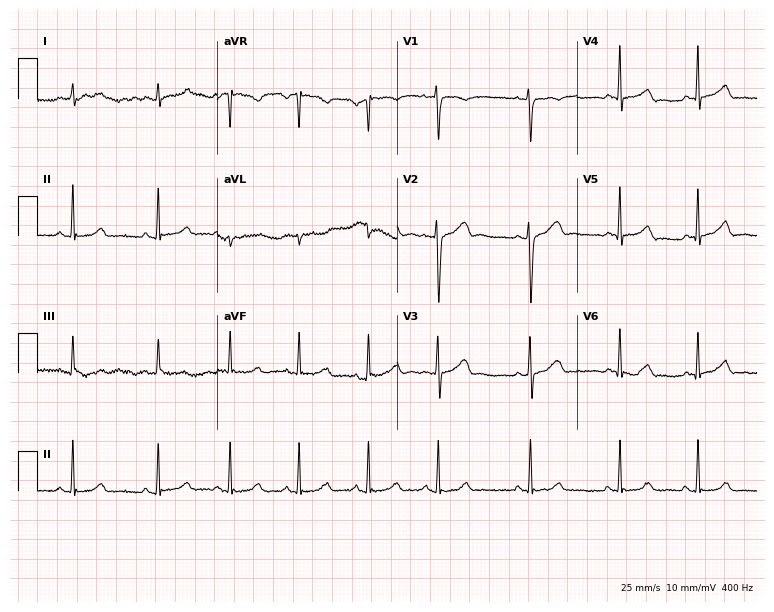
Resting 12-lead electrocardiogram. Patient: a female, 19 years old. None of these six findings is recorded: first-degree AV block, right bundle branch block, left bundle branch block, sinus bradycardia, atrial fibrillation, sinus tachycardia.